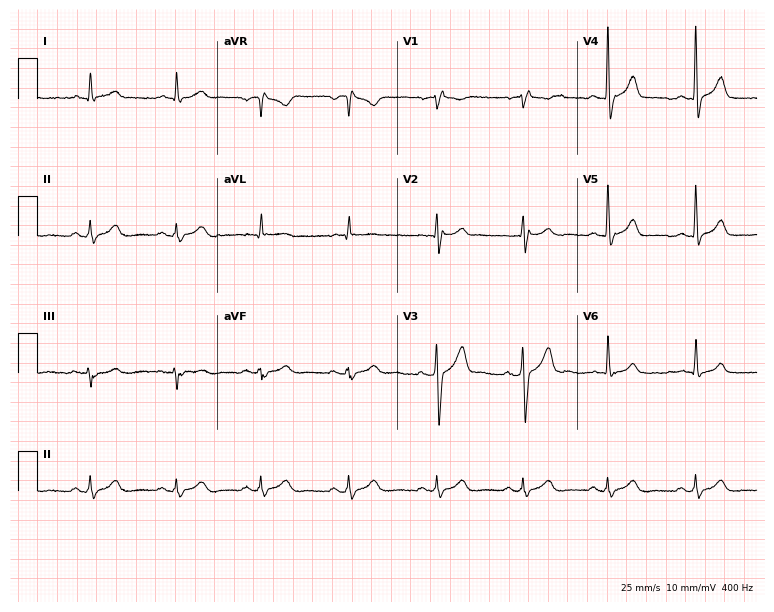
Electrocardiogram (7.3-second recording at 400 Hz), a man, 59 years old. Of the six screened findings (first-degree AV block, right bundle branch block, left bundle branch block, sinus bradycardia, atrial fibrillation, sinus tachycardia), none is recorded. Only these six findings were labelled.